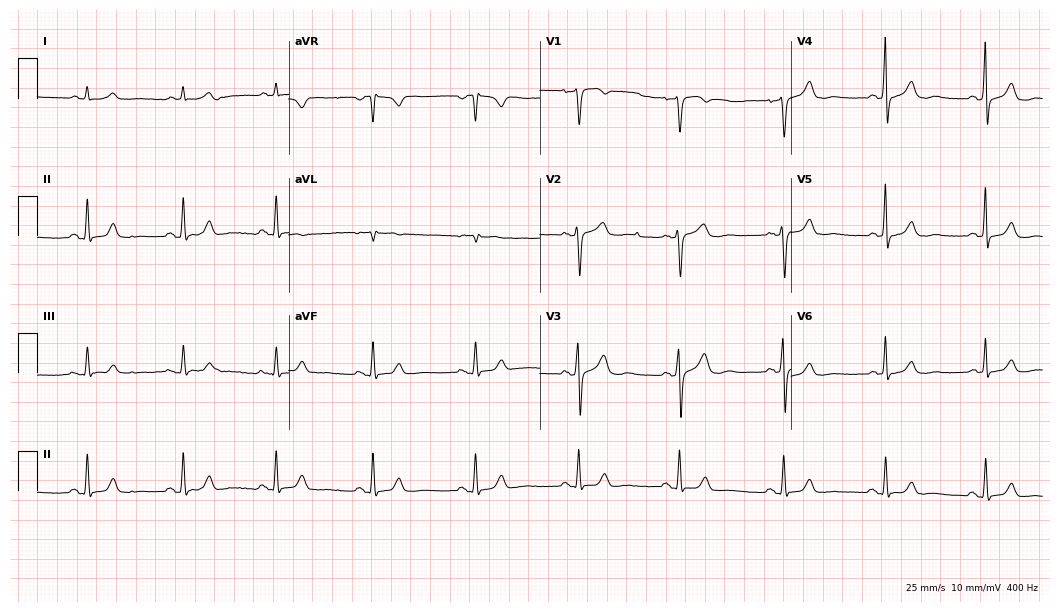
ECG — a 62-year-old male. Labelled as a normal ECG.